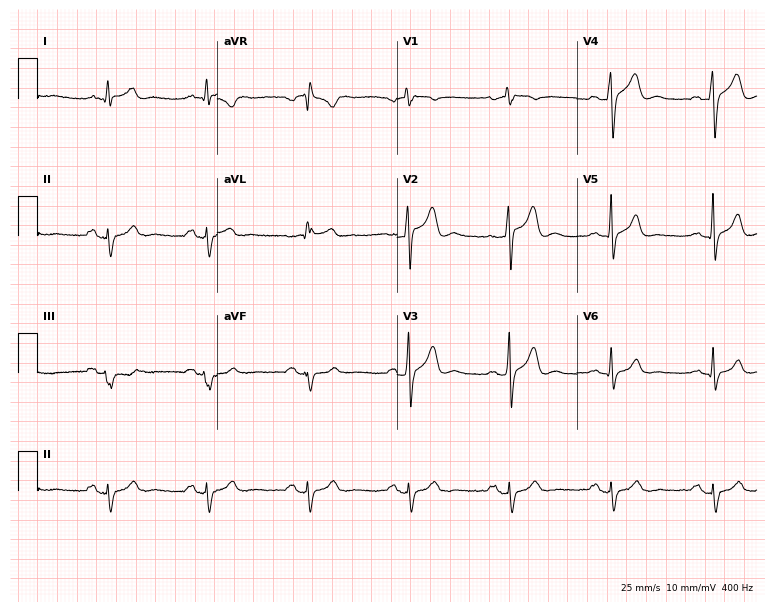
Standard 12-lead ECG recorded from a male patient, 51 years old. None of these six findings is recorded: first-degree AV block, right bundle branch block, left bundle branch block, sinus bradycardia, atrial fibrillation, sinus tachycardia. Other findings, if any, are not listed.